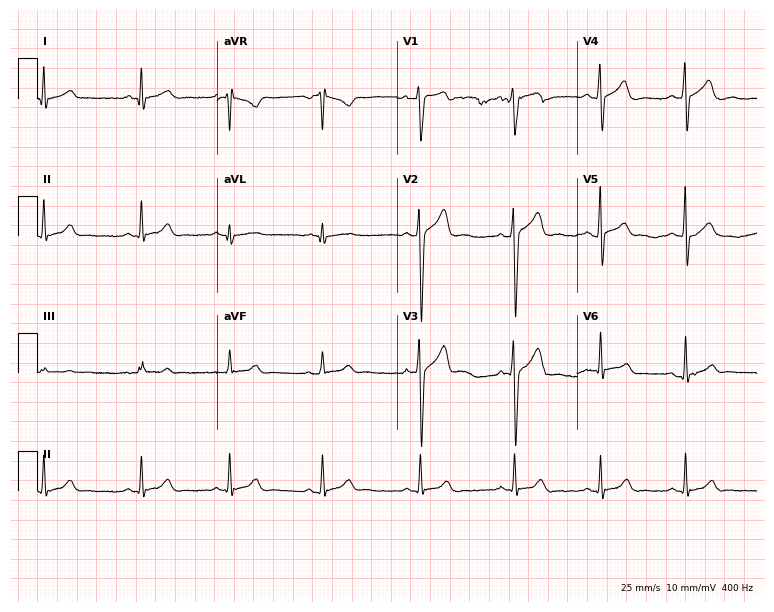
ECG — a 19-year-old man. Labelled as a normal ECG.